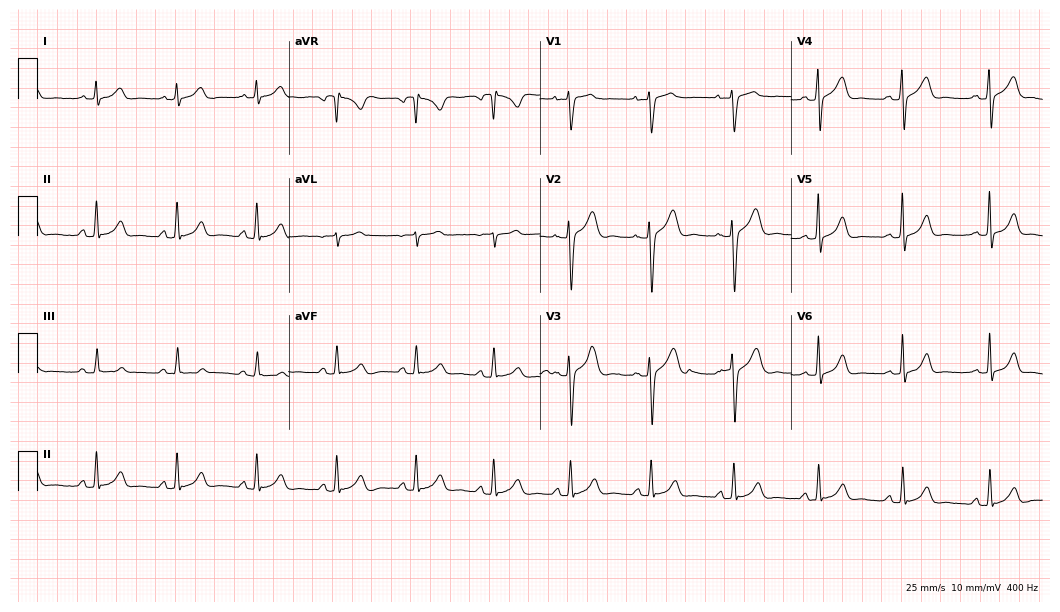
Standard 12-lead ECG recorded from a 30-year-old female (10.2-second recording at 400 Hz). Read as a normal ECG.